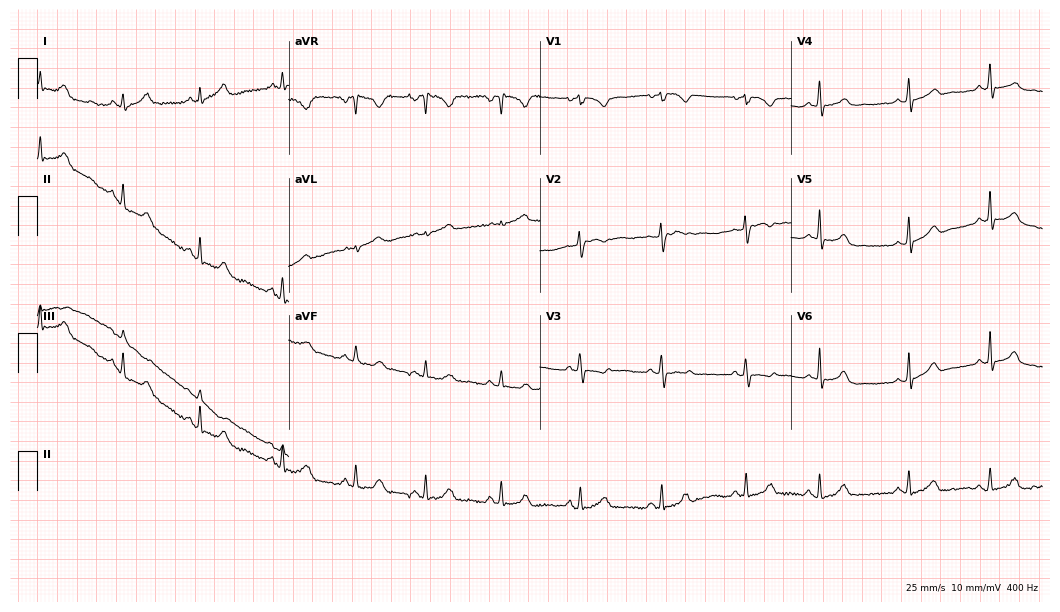
Standard 12-lead ECG recorded from a woman, 17 years old. Read as a normal ECG.